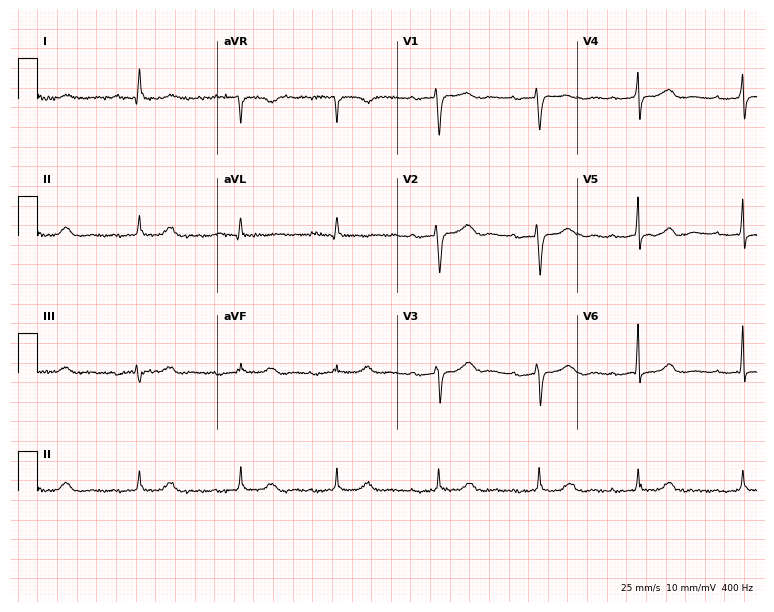
12-lead ECG from a 76-year-old female patient (7.3-second recording at 400 Hz). Shows first-degree AV block.